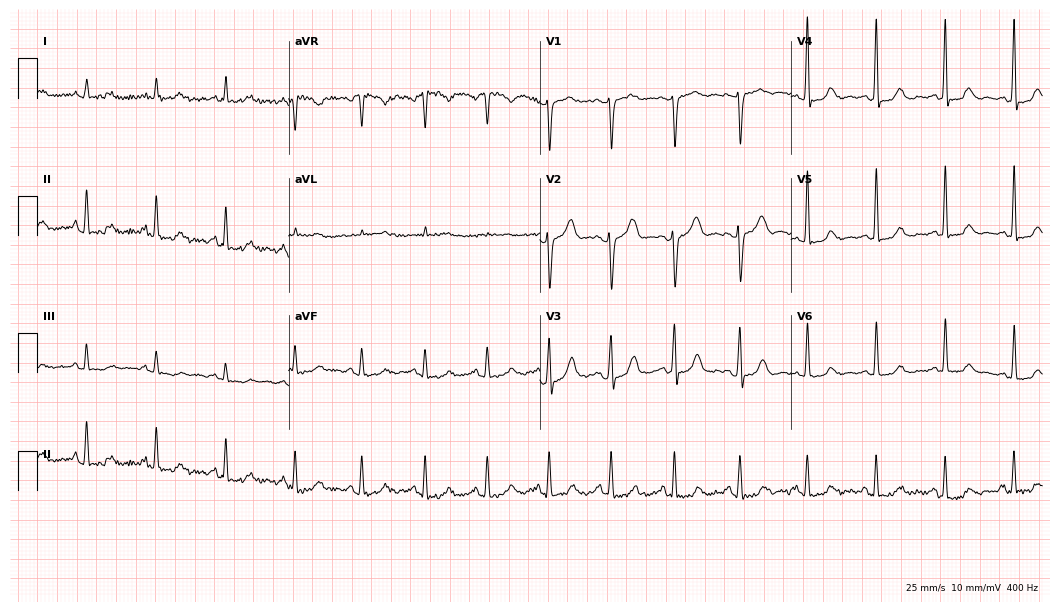
12-lead ECG from a woman, 61 years old. No first-degree AV block, right bundle branch block, left bundle branch block, sinus bradycardia, atrial fibrillation or sinus tachycardia recorded for this tracing.